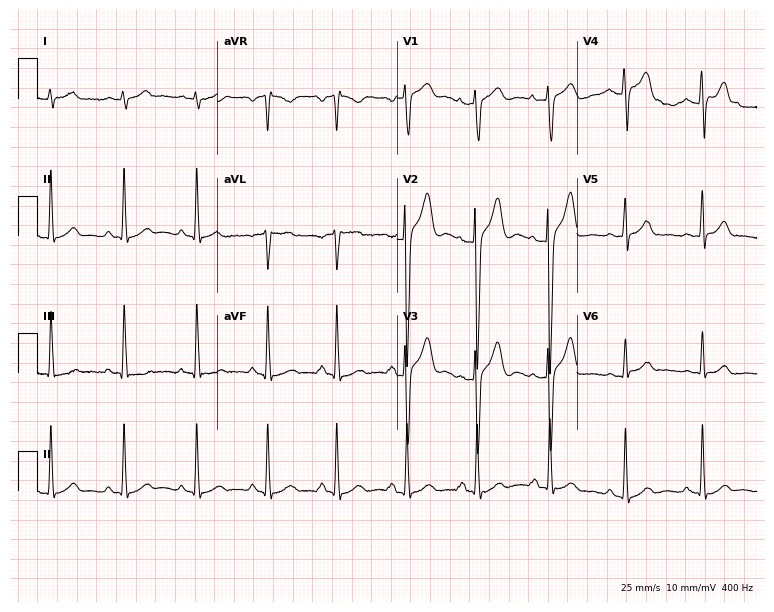
ECG — a 28-year-old male. Screened for six findings — first-degree AV block, right bundle branch block (RBBB), left bundle branch block (LBBB), sinus bradycardia, atrial fibrillation (AF), sinus tachycardia — none is recorded. Other findings, if any, are not listed.